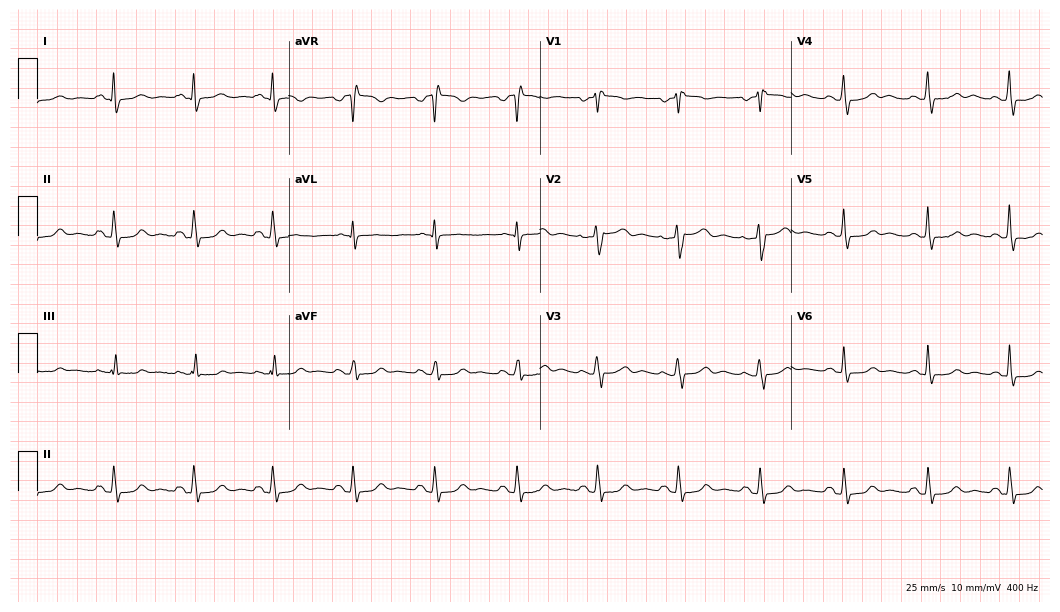
Resting 12-lead electrocardiogram. Patient: a woman, 54 years old. None of these six findings is recorded: first-degree AV block, right bundle branch block, left bundle branch block, sinus bradycardia, atrial fibrillation, sinus tachycardia. Findings outside these six are not listed.